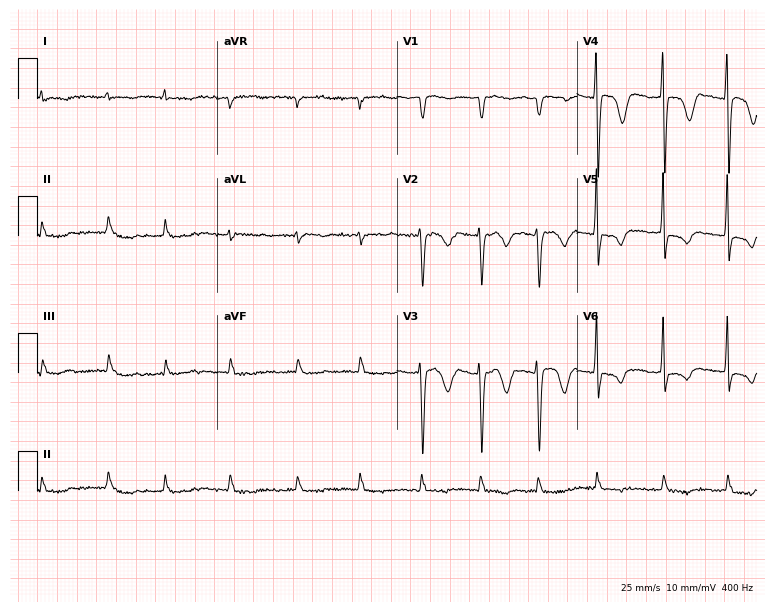
12-lead ECG from a male patient, 68 years old. Findings include atrial fibrillation.